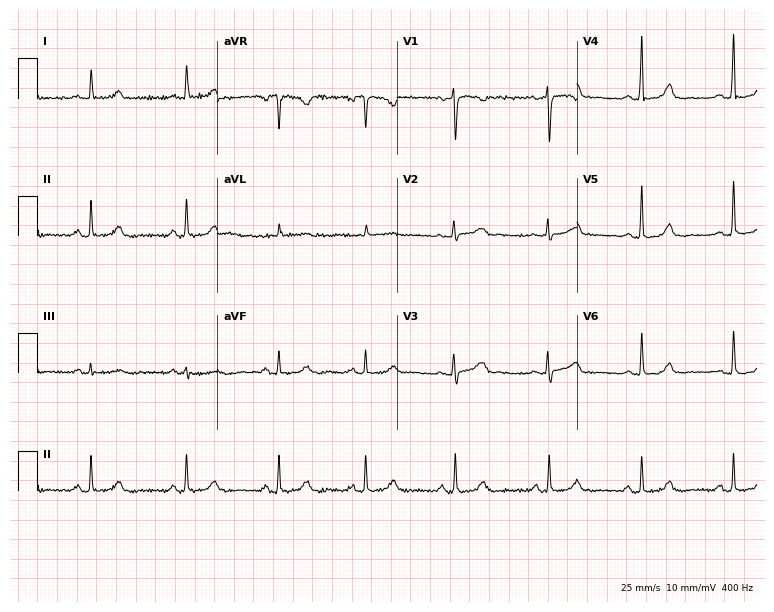
12-lead ECG from a female patient, 40 years old. Recorded interpretation: within normal limits.